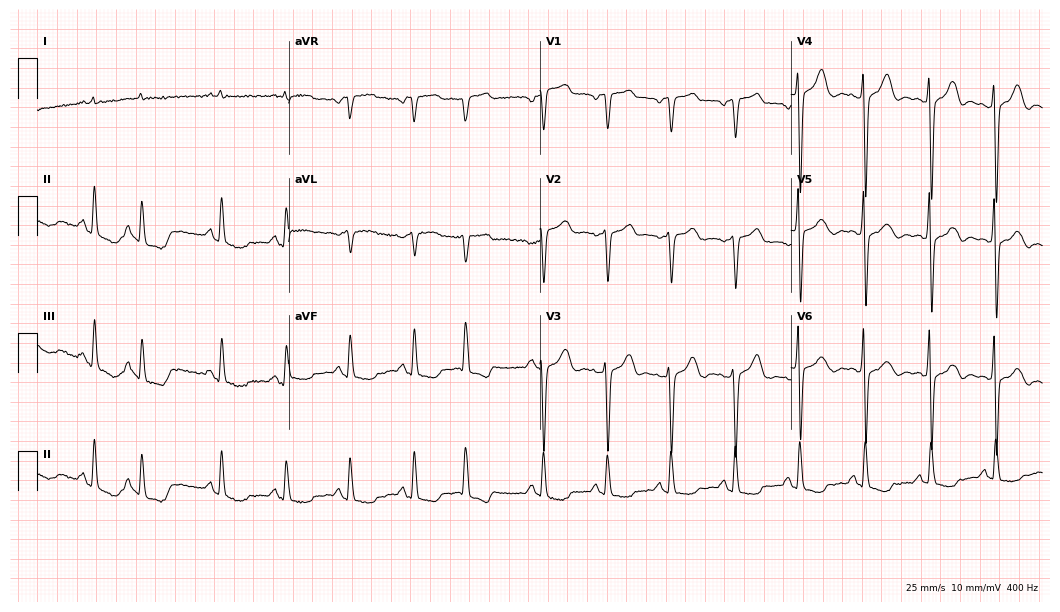
Electrocardiogram, a 73-year-old man. Of the six screened findings (first-degree AV block, right bundle branch block, left bundle branch block, sinus bradycardia, atrial fibrillation, sinus tachycardia), none is recorded.